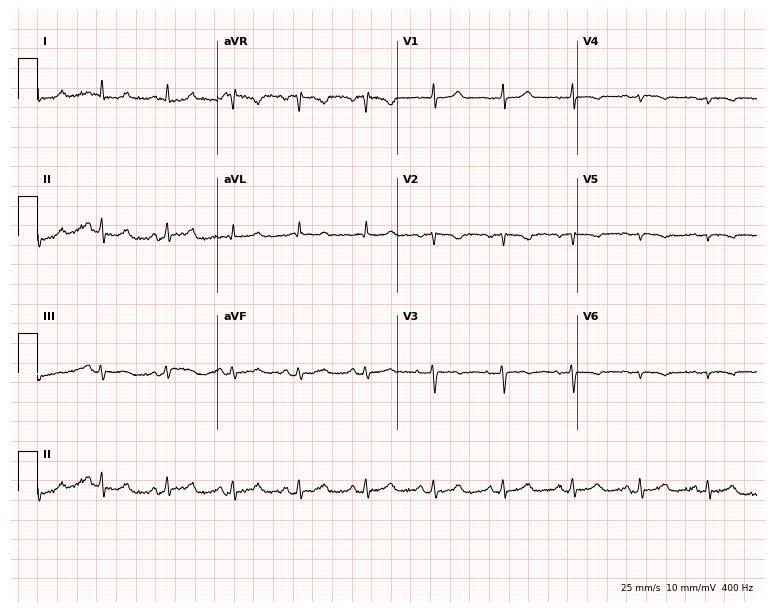
Resting 12-lead electrocardiogram. Patient: a female, 76 years old. None of these six findings is recorded: first-degree AV block, right bundle branch block, left bundle branch block, sinus bradycardia, atrial fibrillation, sinus tachycardia. Only these six findings were labelled.